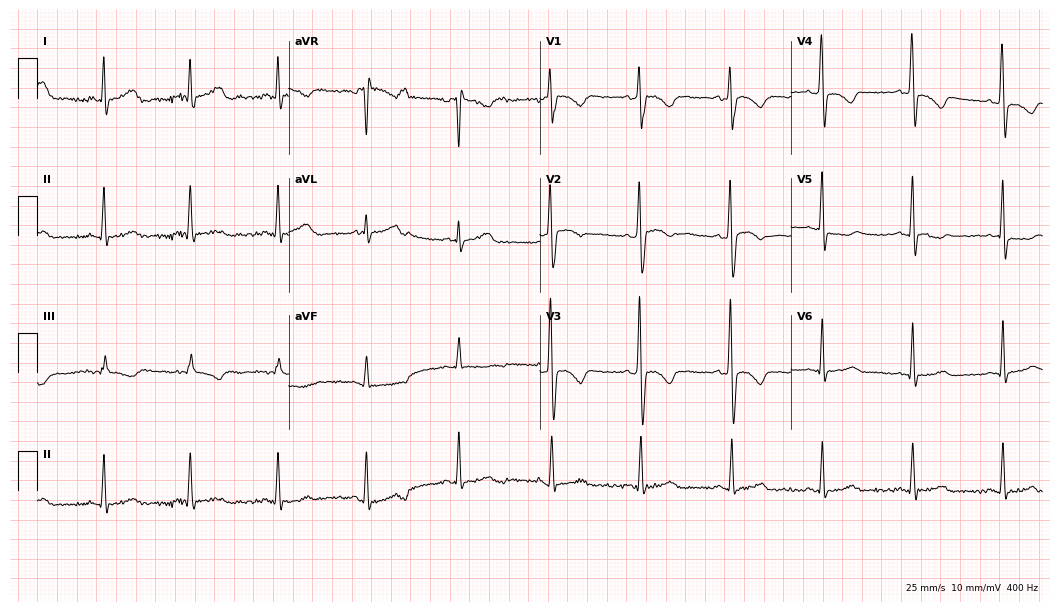
12-lead ECG (10.2-second recording at 400 Hz) from a female, 39 years old. Screened for six findings — first-degree AV block, right bundle branch block (RBBB), left bundle branch block (LBBB), sinus bradycardia, atrial fibrillation (AF), sinus tachycardia — none is recorded.